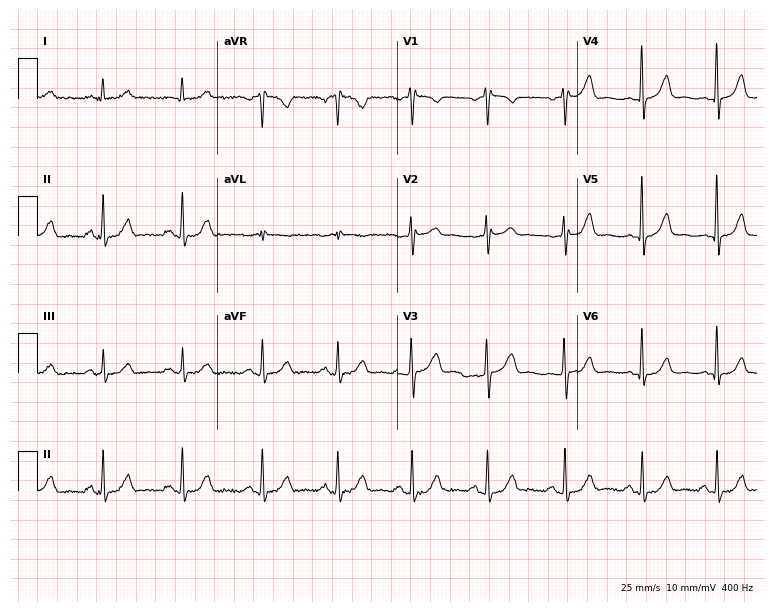
ECG — a 57-year-old female patient. Screened for six findings — first-degree AV block, right bundle branch block, left bundle branch block, sinus bradycardia, atrial fibrillation, sinus tachycardia — none is recorded.